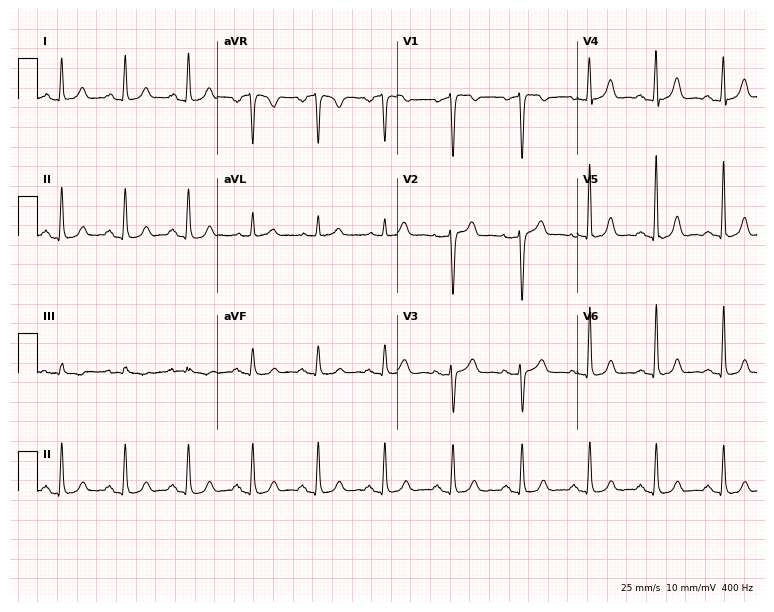
12-lead ECG (7.3-second recording at 400 Hz) from a female, 50 years old. Labelled as a normal ECG.